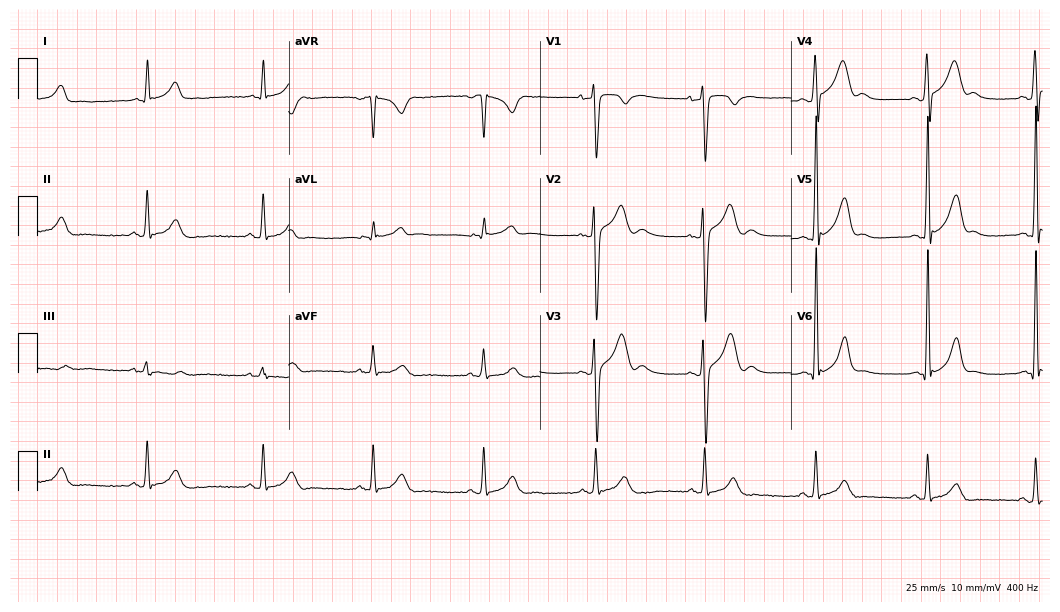
ECG — a 33-year-old female patient. Labelled as a normal ECG.